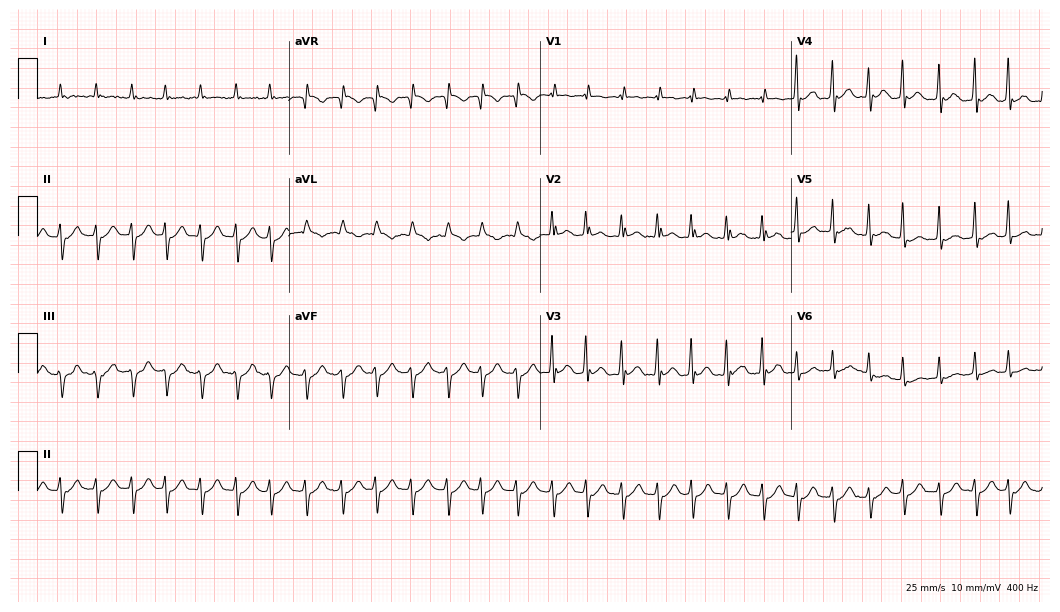
12-lead ECG (10.2-second recording at 400 Hz) from a man, 66 years old. Findings include sinus tachycardia (a sinus rate of 100 beats per minute or more).